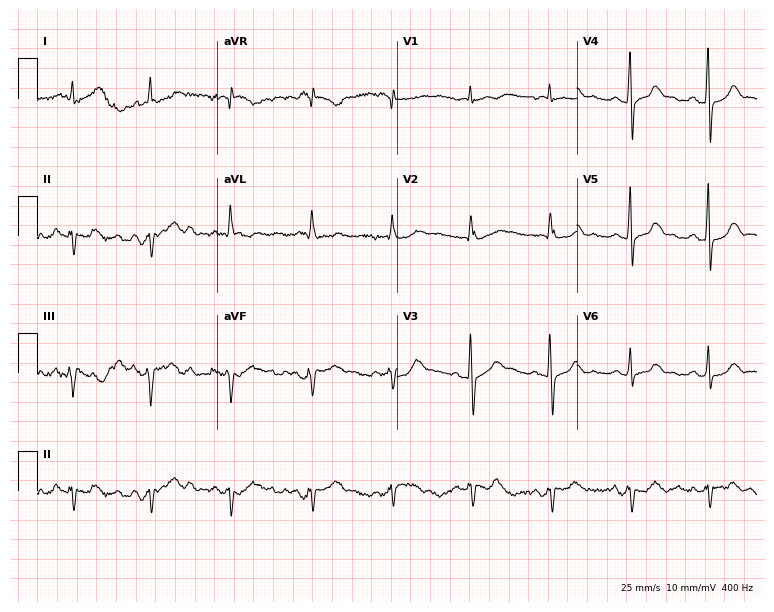
12-lead ECG from a female, 66 years old (7.3-second recording at 400 Hz). No first-degree AV block, right bundle branch block, left bundle branch block, sinus bradycardia, atrial fibrillation or sinus tachycardia recorded for this tracing. Findings outside these six are not listed.